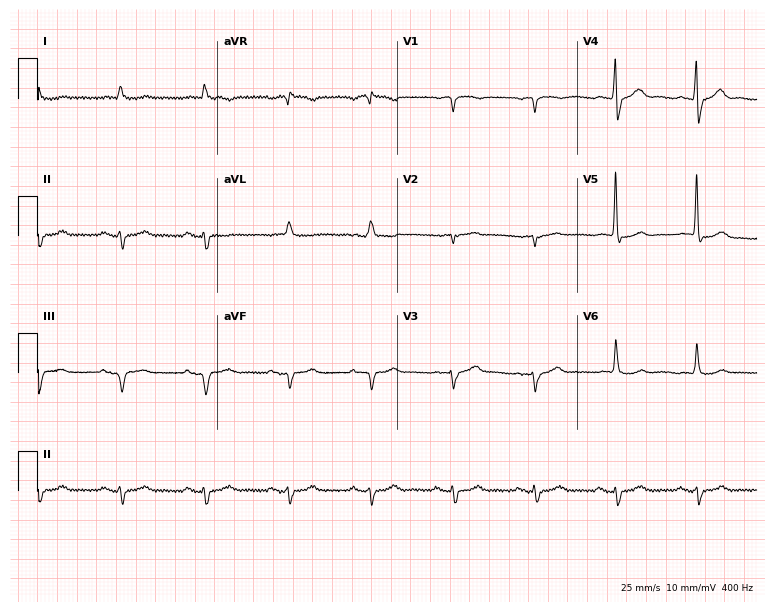
12-lead ECG from a male, 85 years old (7.3-second recording at 400 Hz). No first-degree AV block, right bundle branch block, left bundle branch block, sinus bradycardia, atrial fibrillation or sinus tachycardia recorded for this tracing. Findings outside these six are not listed.